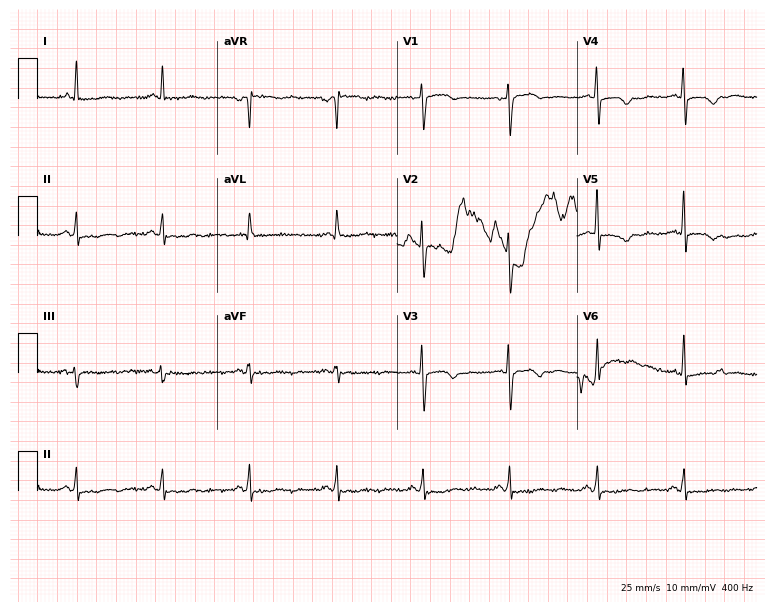
Electrocardiogram (7.3-second recording at 400 Hz), a female, 64 years old. Of the six screened findings (first-degree AV block, right bundle branch block (RBBB), left bundle branch block (LBBB), sinus bradycardia, atrial fibrillation (AF), sinus tachycardia), none is recorded. Only these six findings were labelled.